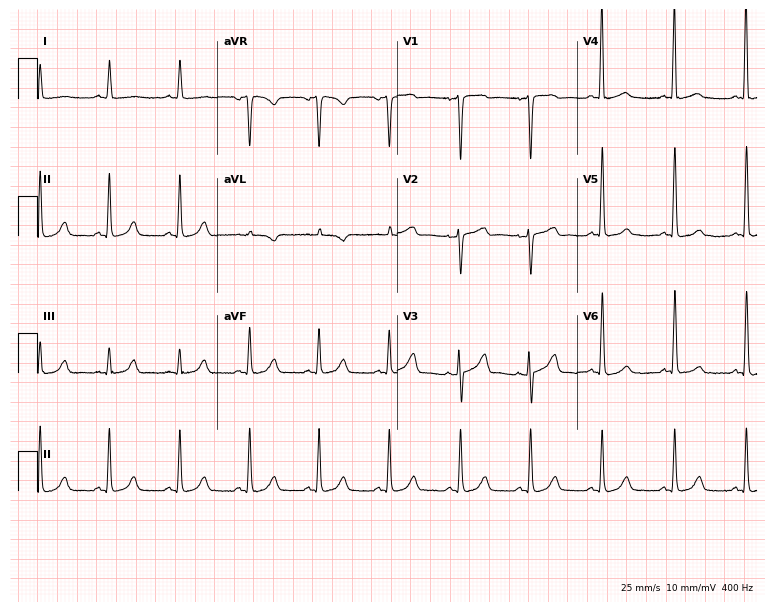
Resting 12-lead electrocardiogram (7.3-second recording at 400 Hz). Patient: an 87-year-old female. Read as a normal ECG.